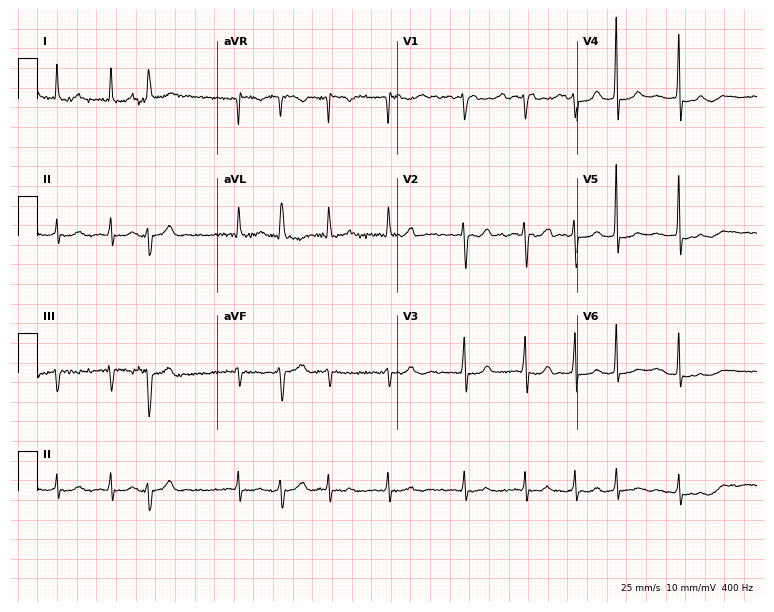
Standard 12-lead ECG recorded from a 78-year-old female (7.3-second recording at 400 Hz). The tracing shows atrial fibrillation.